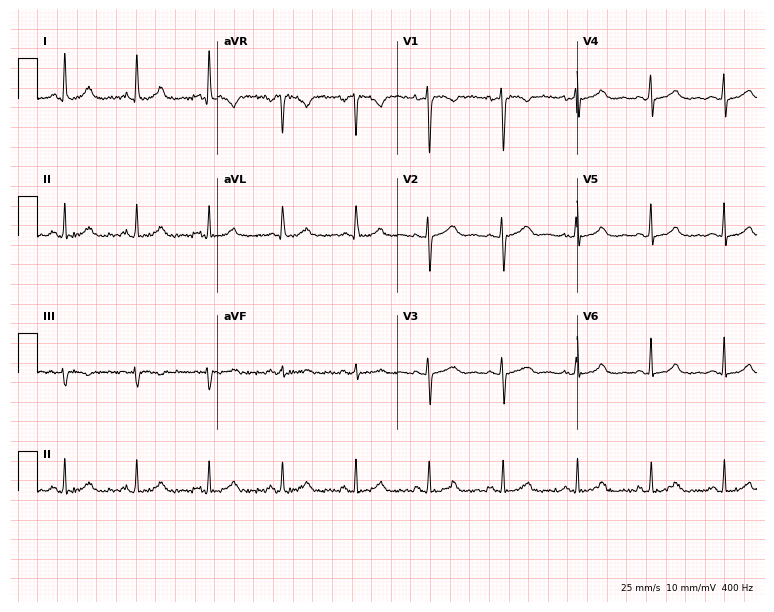
Standard 12-lead ECG recorded from a 31-year-old female (7.3-second recording at 400 Hz). Read as a normal ECG.